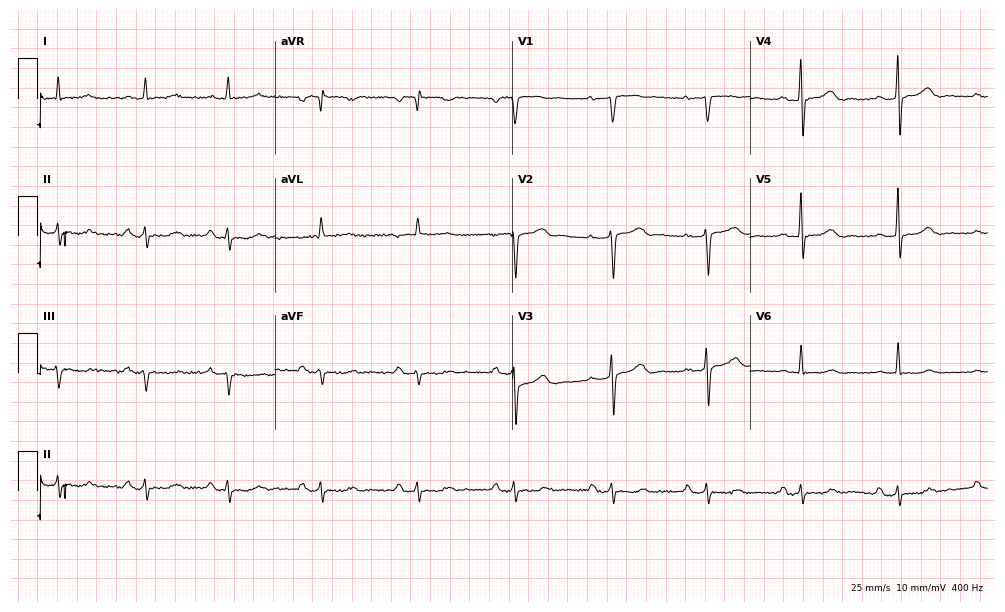
Standard 12-lead ECG recorded from a female, 69 years old (9.7-second recording at 400 Hz). None of these six findings is recorded: first-degree AV block, right bundle branch block, left bundle branch block, sinus bradycardia, atrial fibrillation, sinus tachycardia. Findings outside these six are not listed.